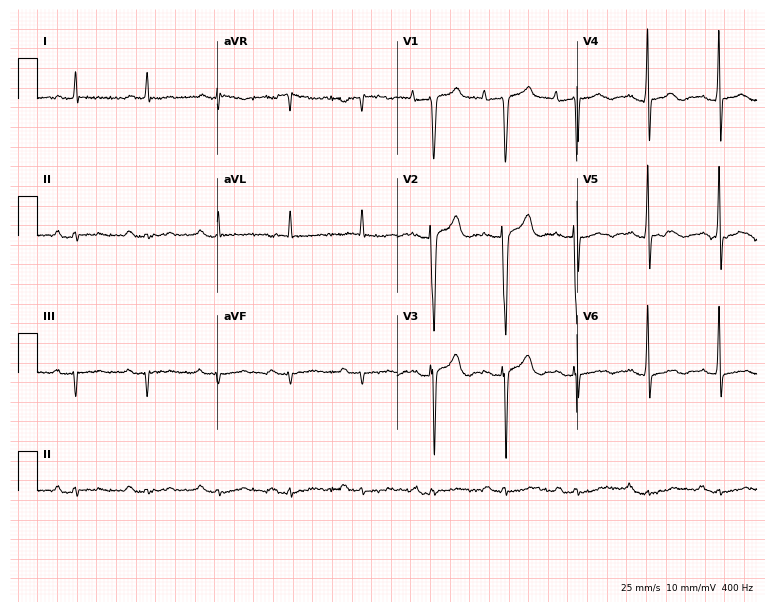
Standard 12-lead ECG recorded from an 82-year-old male patient (7.3-second recording at 400 Hz). None of these six findings is recorded: first-degree AV block, right bundle branch block (RBBB), left bundle branch block (LBBB), sinus bradycardia, atrial fibrillation (AF), sinus tachycardia.